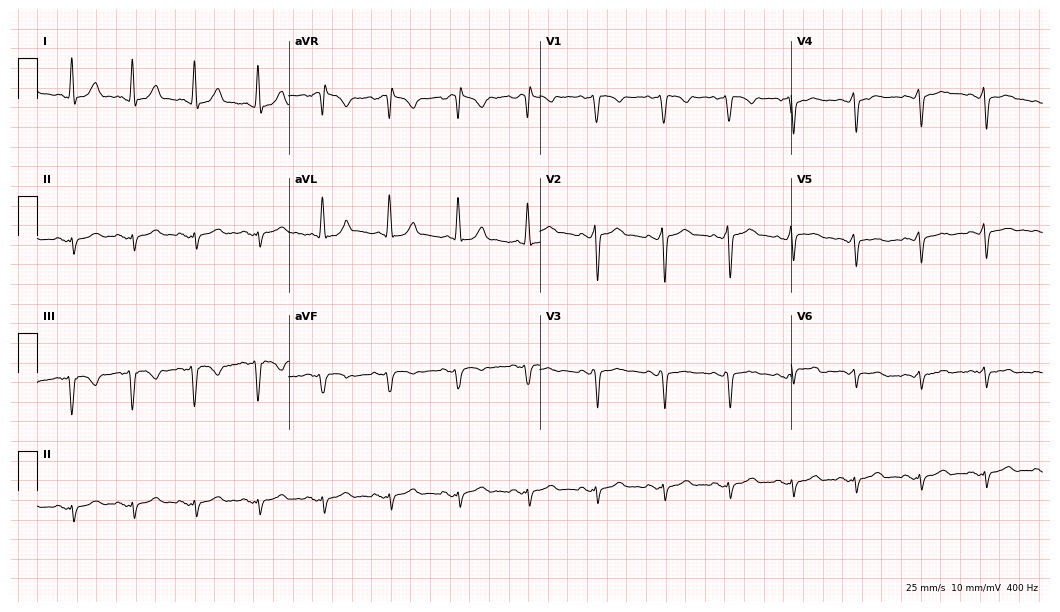
Electrocardiogram (10.2-second recording at 400 Hz), a male patient, 40 years old. Of the six screened findings (first-degree AV block, right bundle branch block, left bundle branch block, sinus bradycardia, atrial fibrillation, sinus tachycardia), none is recorded. Only these six findings were labelled.